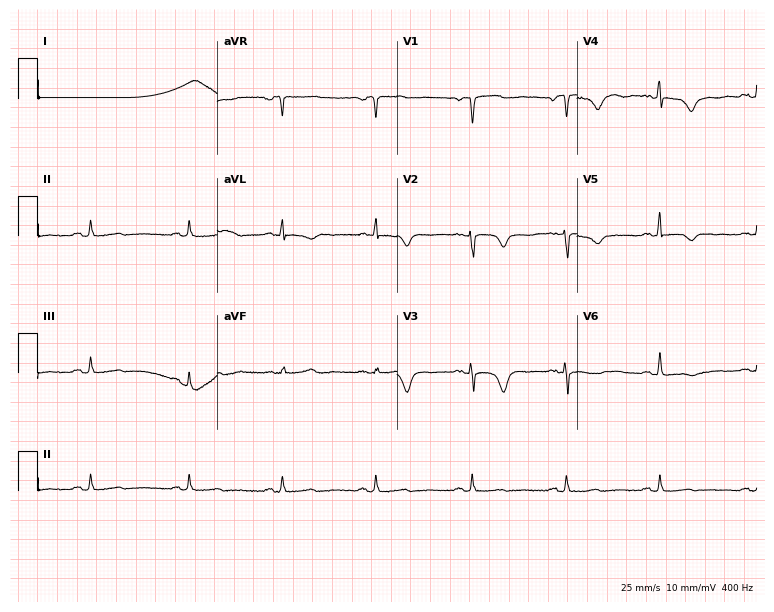
12-lead ECG (7.3-second recording at 400 Hz) from a female, 69 years old. Screened for six findings — first-degree AV block, right bundle branch block, left bundle branch block, sinus bradycardia, atrial fibrillation, sinus tachycardia — none is recorded.